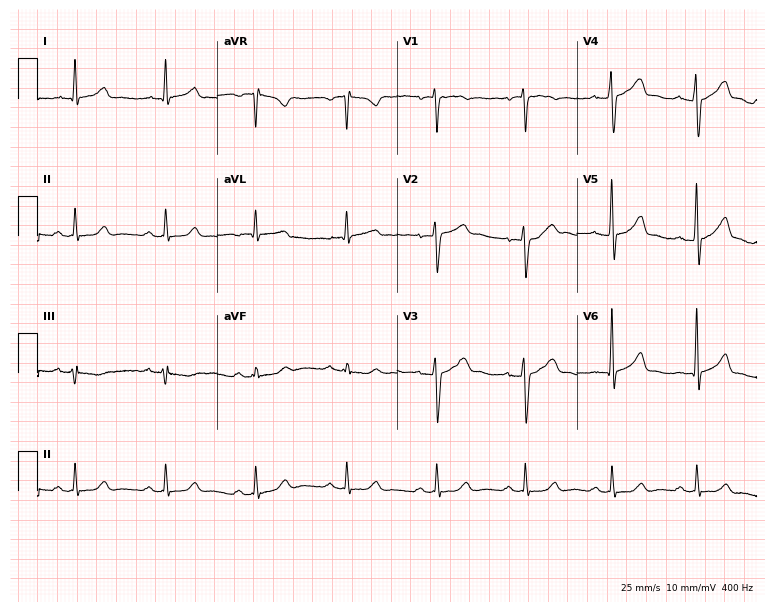
Resting 12-lead electrocardiogram (7.3-second recording at 400 Hz). Patient: a male, 42 years old. Read as a normal ECG.